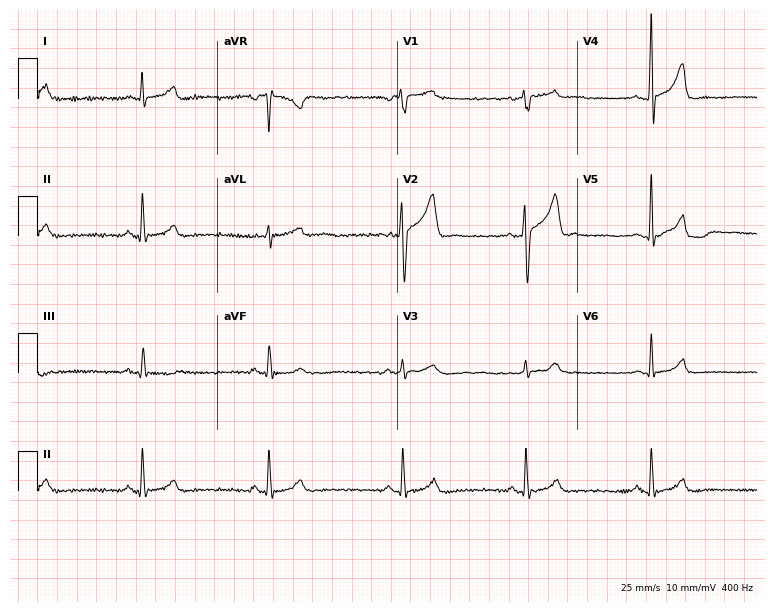
ECG — a 32-year-old male. Findings include sinus bradycardia (a sinus rate of 50 beats per minute or less).